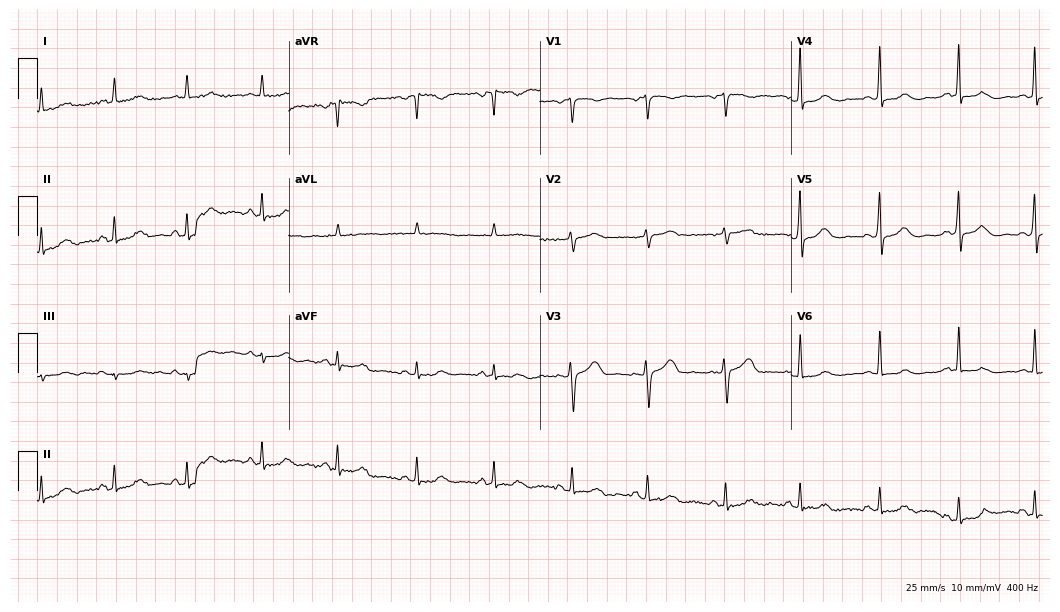
12-lead ECG from a 65-year-old woman. Recorded interpretation: within normal limits.